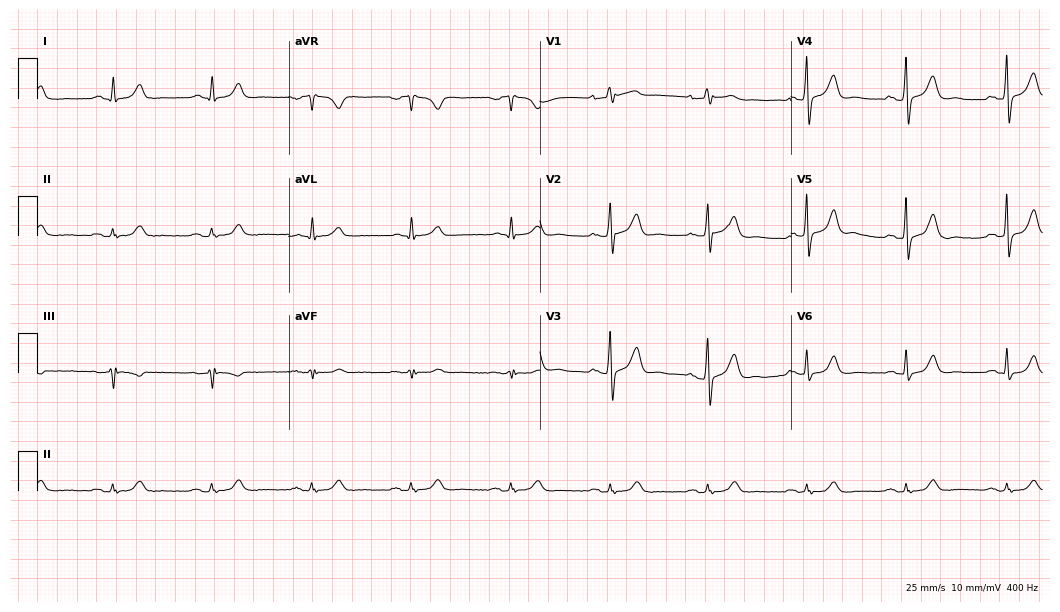
Standard 12-lead ECG recorded from a male patient, 71 years old (10.2-second recording at 400 Hz). Read as a normal ECG.